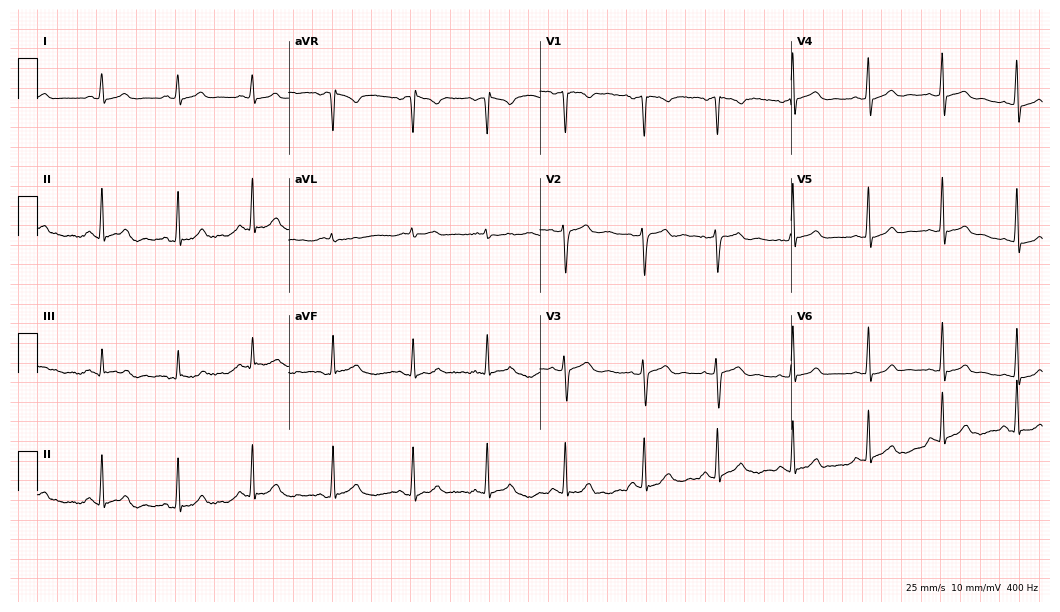
12-lead ECG from a female patient, 24 years old (10.2-second recording at 400 Hz). Recorded interpretation: within normal limits.